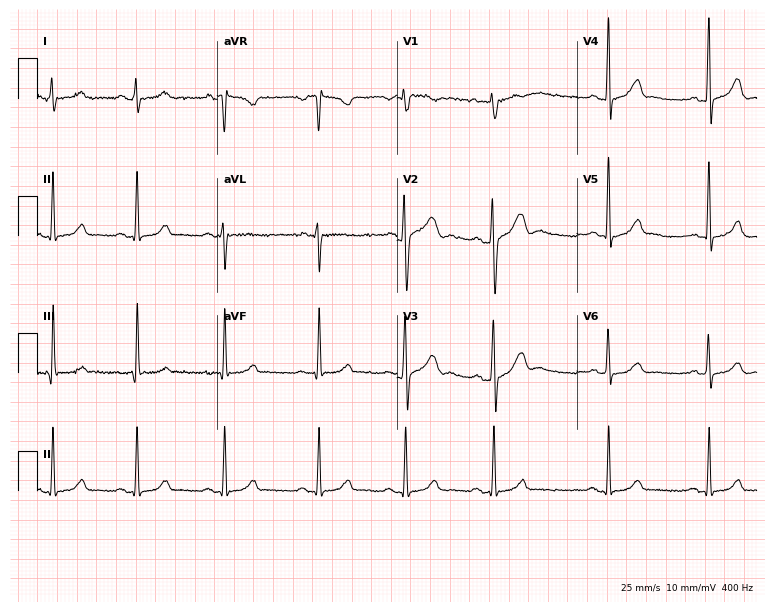
Standard 12-lead ECG recorded from a female, 22 years old (7.3-second recording at 400 Hz). Read as a normal ECG.